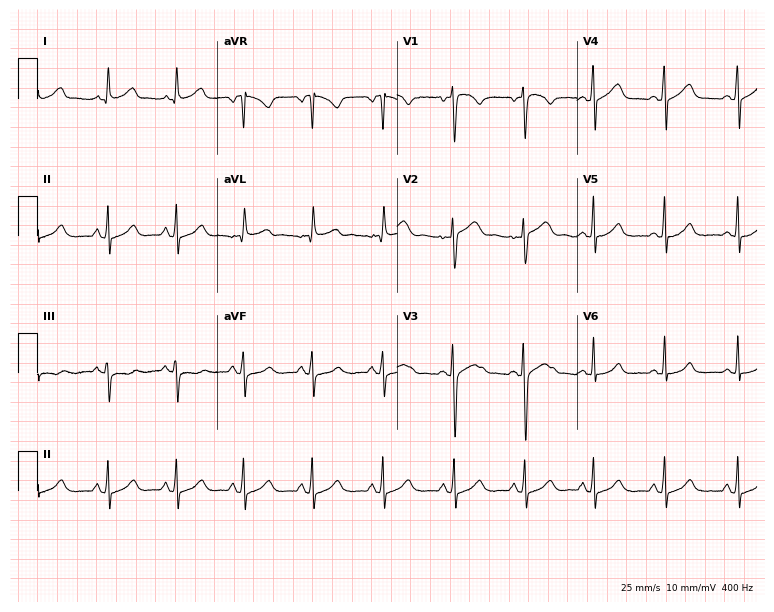
Standard 12-lead ECG recorded from a woman, 22 years old (7.3-second recording at 400 Hz). Read as a normal ECG.